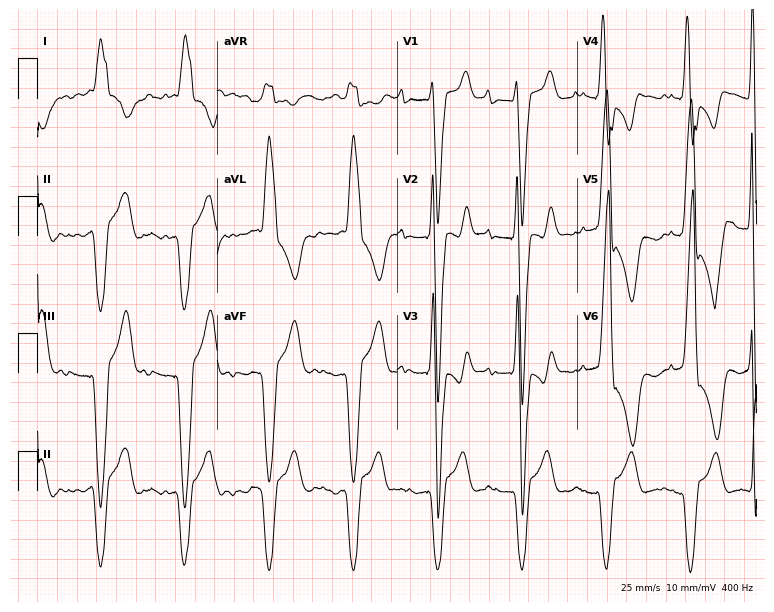
Resting 12-lead electrocardiogram (7.3-second recording at 400 Hz). Patient: a male, 83 years old. None of these six findings is recorded: first-degree AV block, right bundle branch block, left bundle branch block, sinus bradycardia, atrial fibrillation, sinus tachycardia. Only these six findings were labelled.